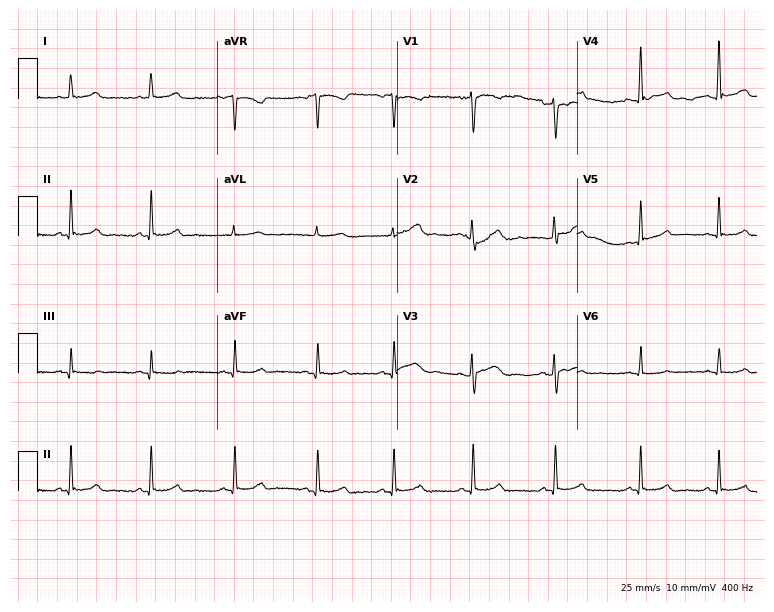
12-lead ECG (7.3-second recording at 400 Hz) from a 31-year-old woman. Labelled as a normal ECG.